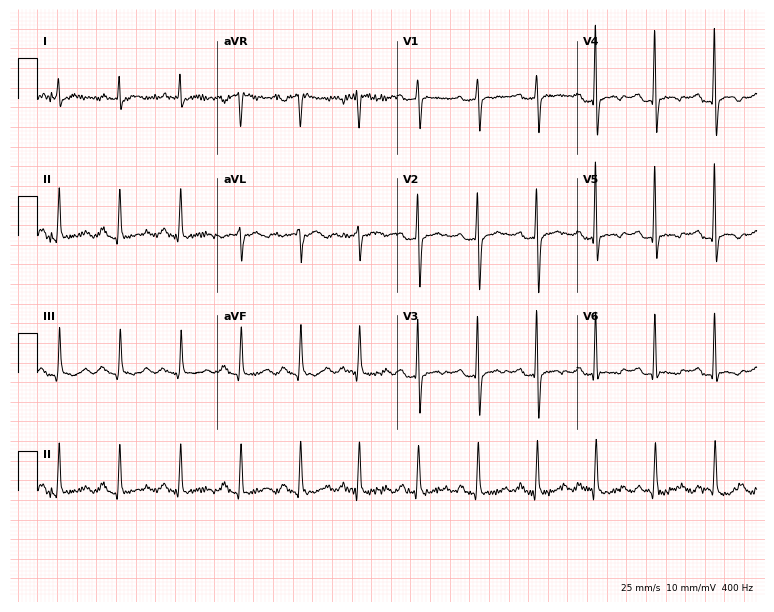
12-lead ECG from a 64-year-old female patient (7.3-second recording at 400 Hz). No first-degree AV block, right bundle branch block (RBBB), left bundle branch block (LBBB), sinus bradycardia, atrial fibrillation (AF) or sinus tachycardia recorded for this tracing. Findings outside these six are not listed.